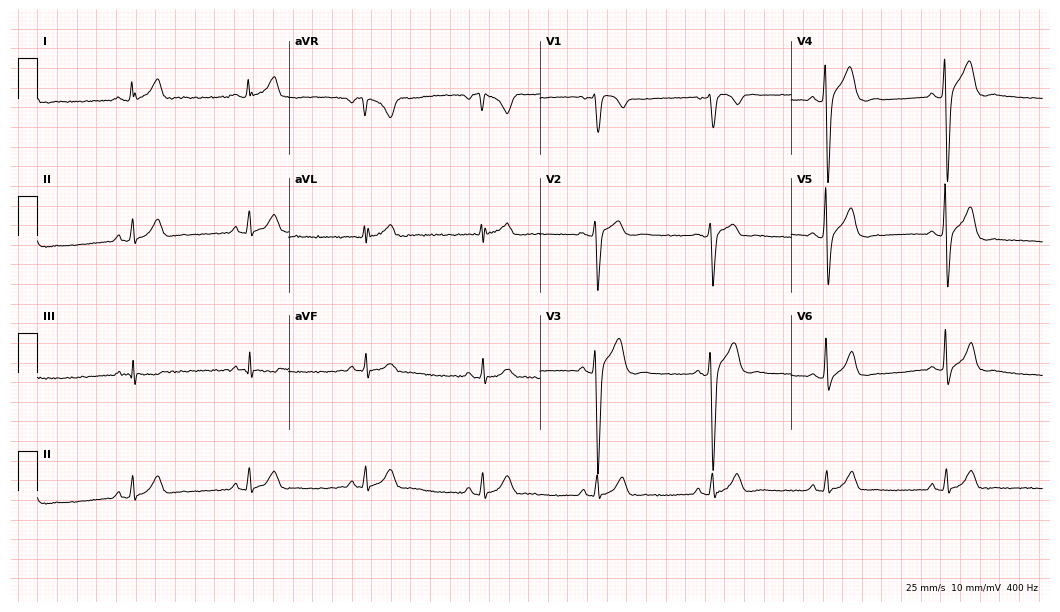
Resting 12-lead electrocardiogram. Patient: a man, 35 years old. None of these six findings is recorded: first-degree AV block, right bundle branch block, left bundle branch block, sinus bradycardia, atrial fibrillation, sinus tachycardia. Findings outside these six are not listed.